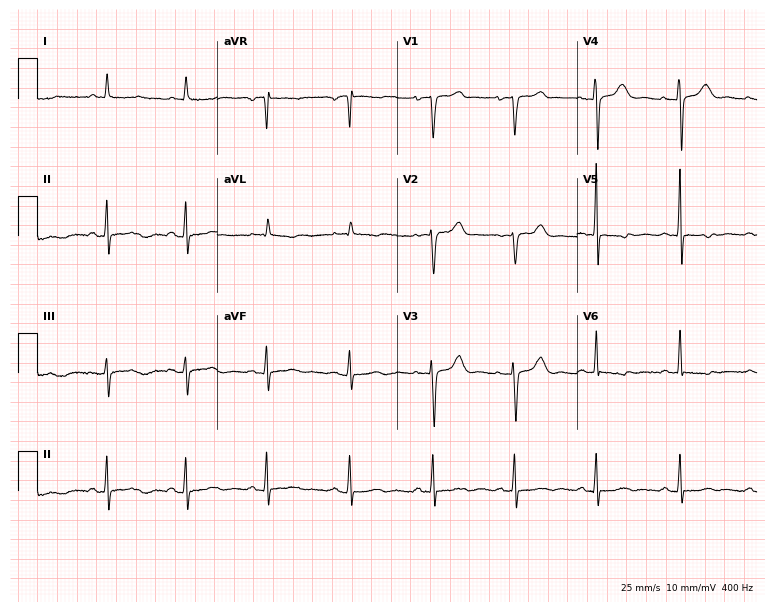
Resting 12-lead electrocardiogram. Patient: a female, 48 years old. None of these six findings is recorded: first-degree AV block, right bundle branch block, left bundle branch block, sinus bradycardia, atrial fibrillation, sinus tachycardia.